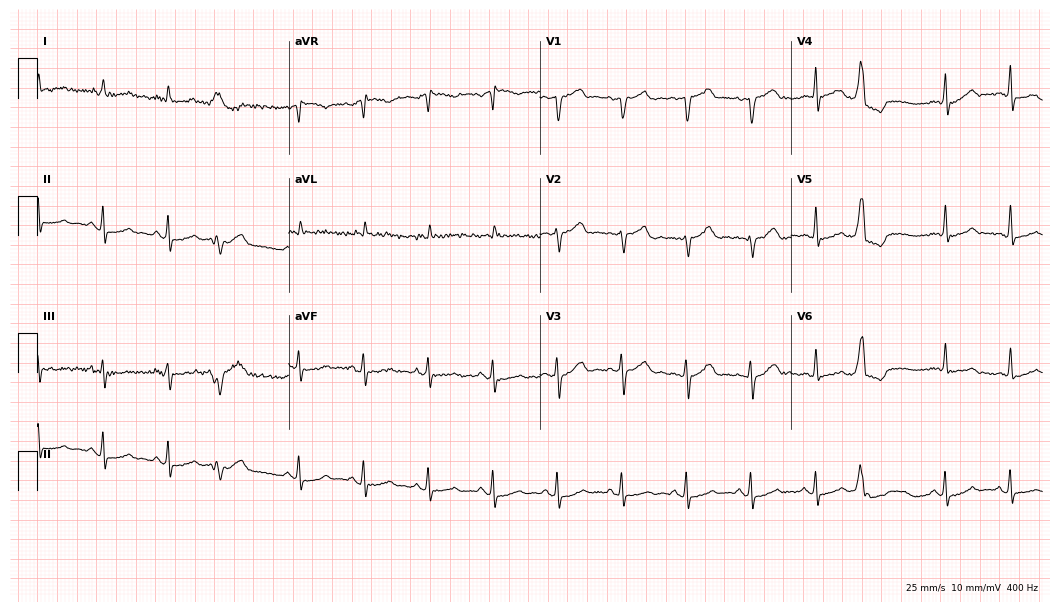
Standard 12-lead ECG recorded from a male, 80 years old. None of these six findings is recorded: first-degree AV block, right bundle branch block (RBBB), left bundle branch block (LBBB), sinus bradycardia, atrial fibrillation (AF), sinus tachycardia.